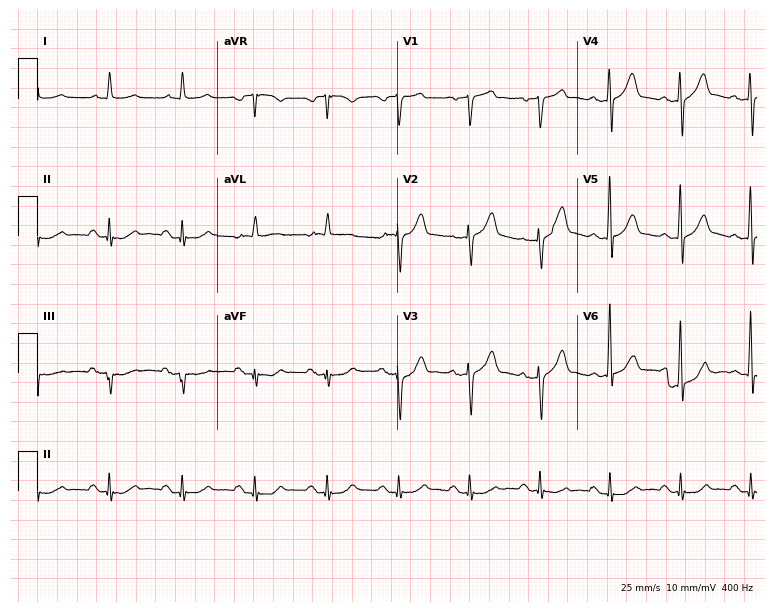
12-lead ECG from a 65-year-old male (7.3-second recording at 400 Hz). Recorded interpretation: within normal limits.